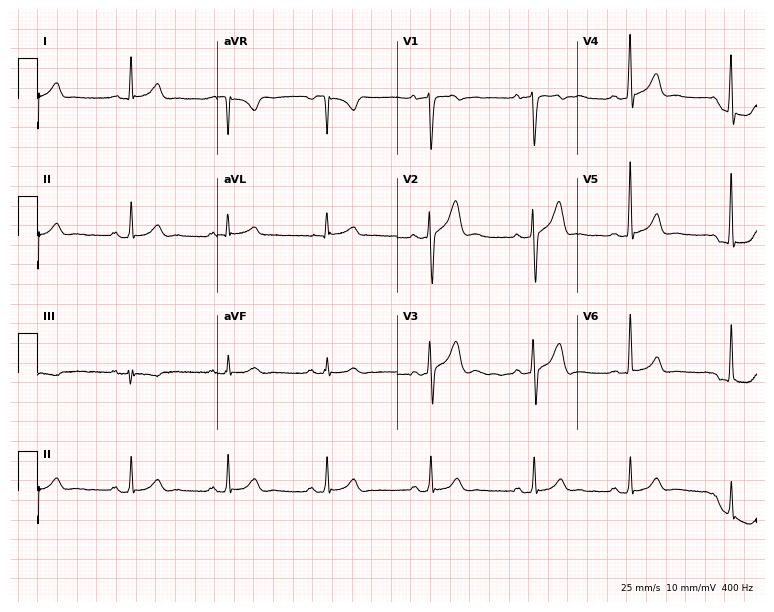
ECG — a 38-year-old man. Labelled as a normal ECG.